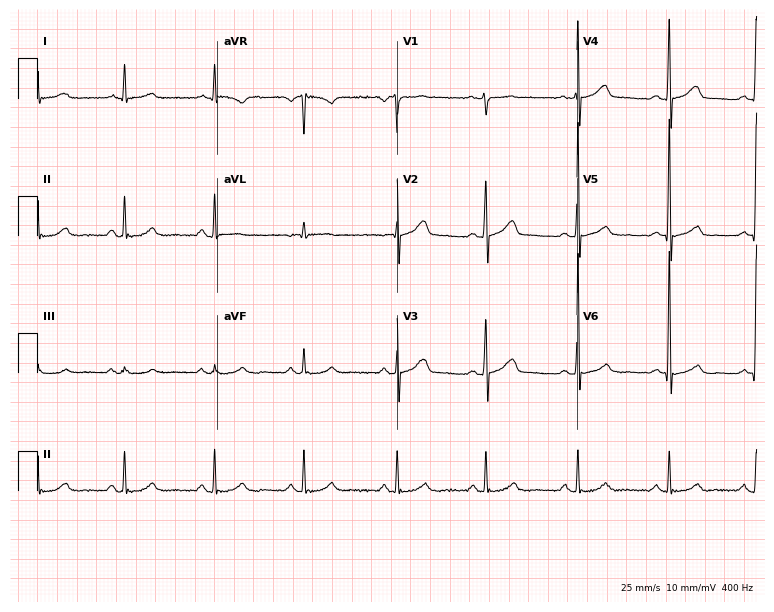
12-lead ECG from a 55-year-old man (7.3-second recording at 400 Hz). Recorded interpretation: within normal limits.